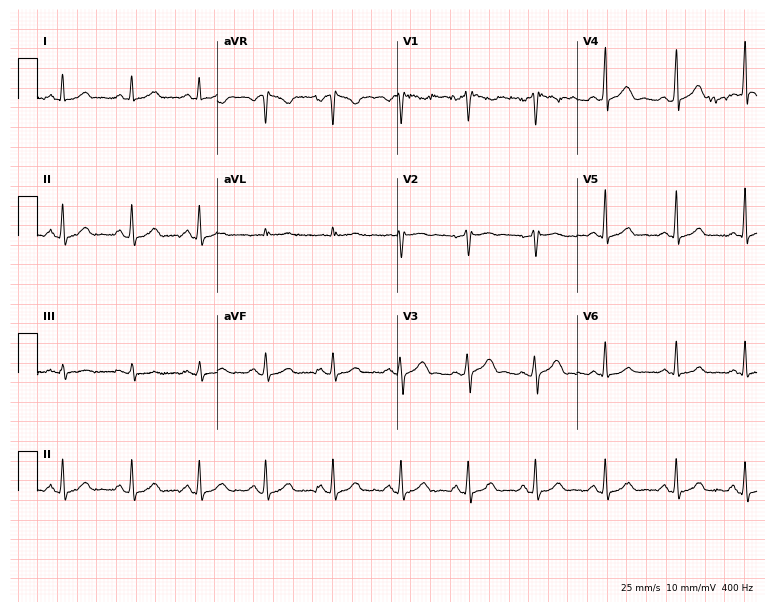
Resting 12-lead electrocardiogram (7.3-second recording at 400 Hz). Patient: a 45-year-old woman. None of these six findings is recorded: first-degree AV block, right bundle branch block, left bundle branch block, sinus bradycardia, atrial fibrillation, sinus tachycardia.